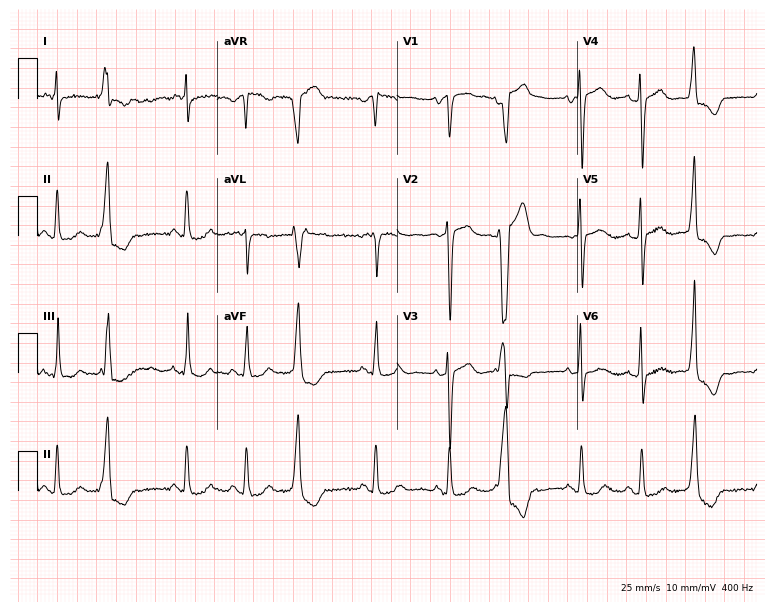
Resting 12-lead electrocardiogram (7.3-second recording at 400 Hz). Patient: a 66-year-old female. None of these six findings is recorded: first-degree AV block, right bundle branch block, left bundle branch block, sinus bradycardia, atrial fibrillation, sinus tachycardia.